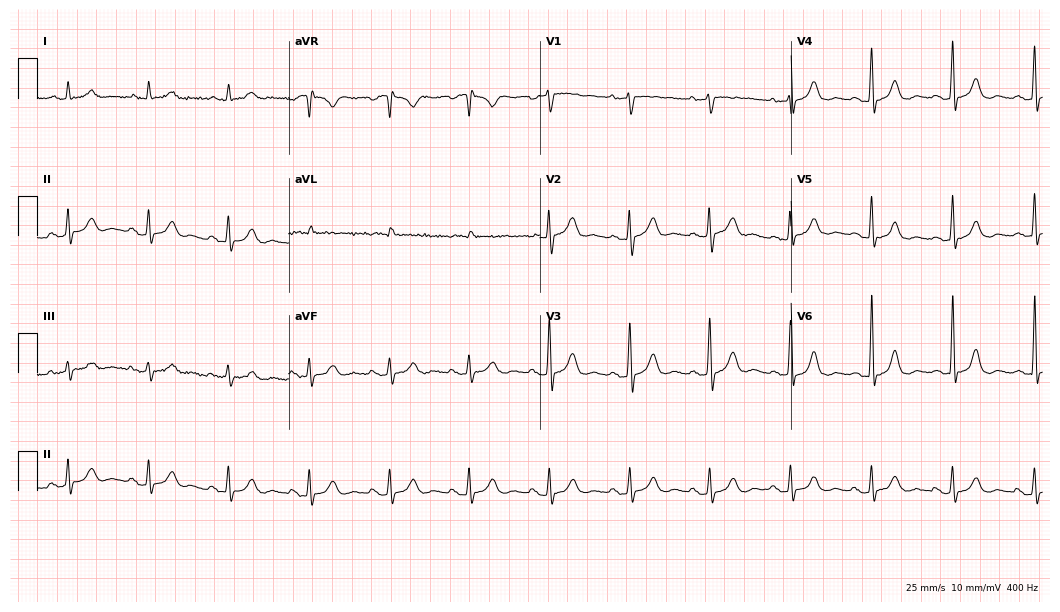
Electrocardiogram (10.2-second recording at 400 Hz), a male patient, 81 years old. Overall reading on record: normal ECG.